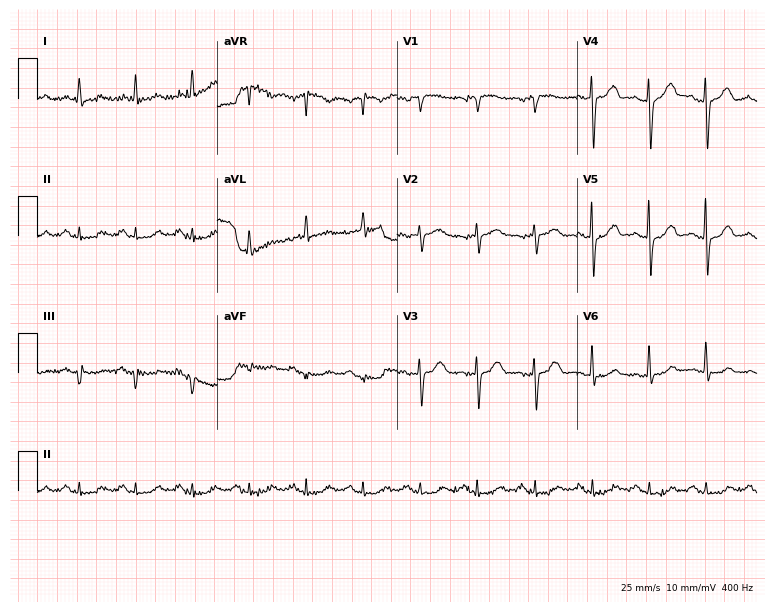
Standard 12-lead ECG recorded from a 71-year-old male patient. None of these six findings is recorded: first-degree AV block, right bundle branch block (RBBB), left bundle branch block (LBBB), sinus bradycardia, atrial fibrillation (AF), sinus tachycardia. Findings outside these six are not listed.